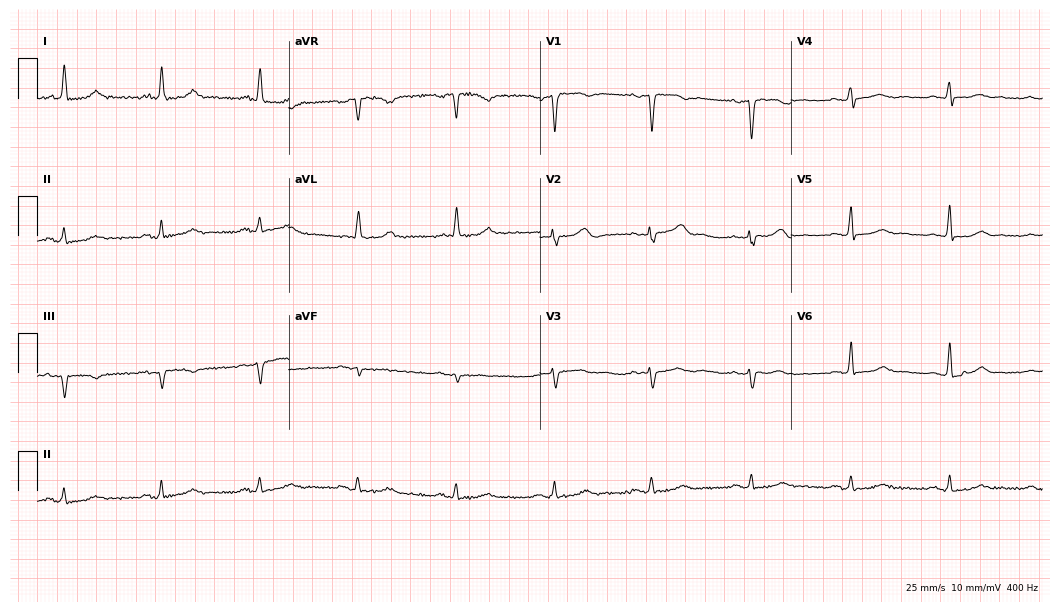
12-lead ECG from a 70-year-old female patient. Recorded interpretation: within normal limits.